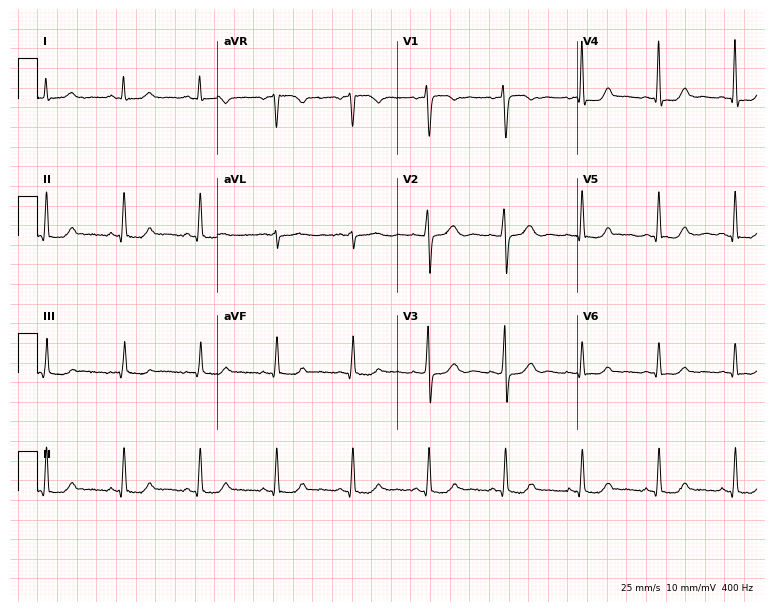
12-lead ECG (7.3-second recording at 400 Hz) from a 49-year-old female. Labelled as a normal ECG.